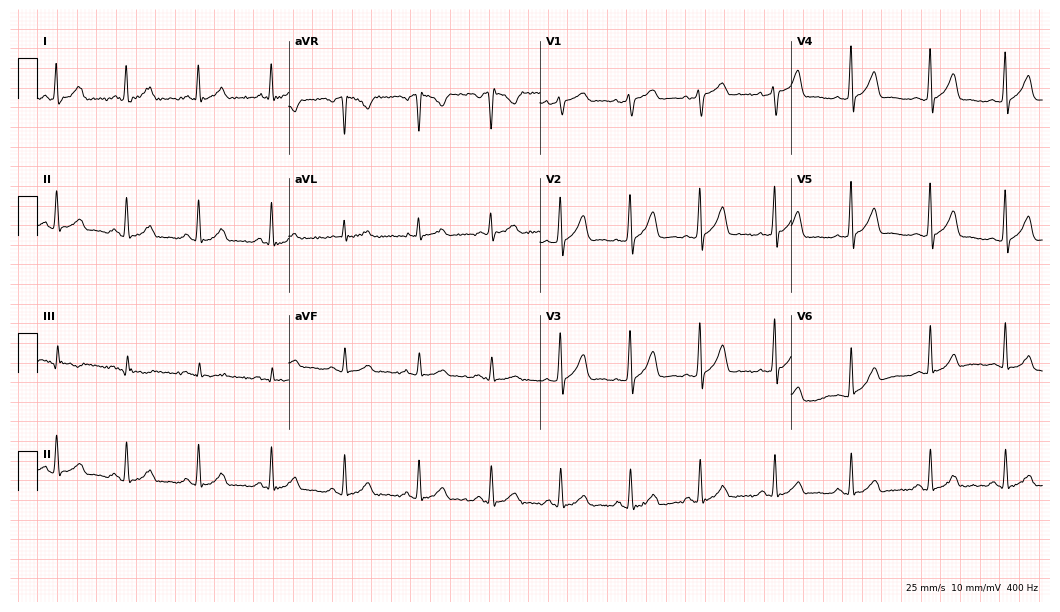
Standard 12-lead ECG recorded from a 49-year-old male patient (10.2-second recording at 400 Hz). None of these six findings is recorded: first-degree AV block, right bundle branch block (RBBB), left bundle branch block (LBBB), sinus bradycardia, atrial fibrillation (AF), sinus tachycardia.